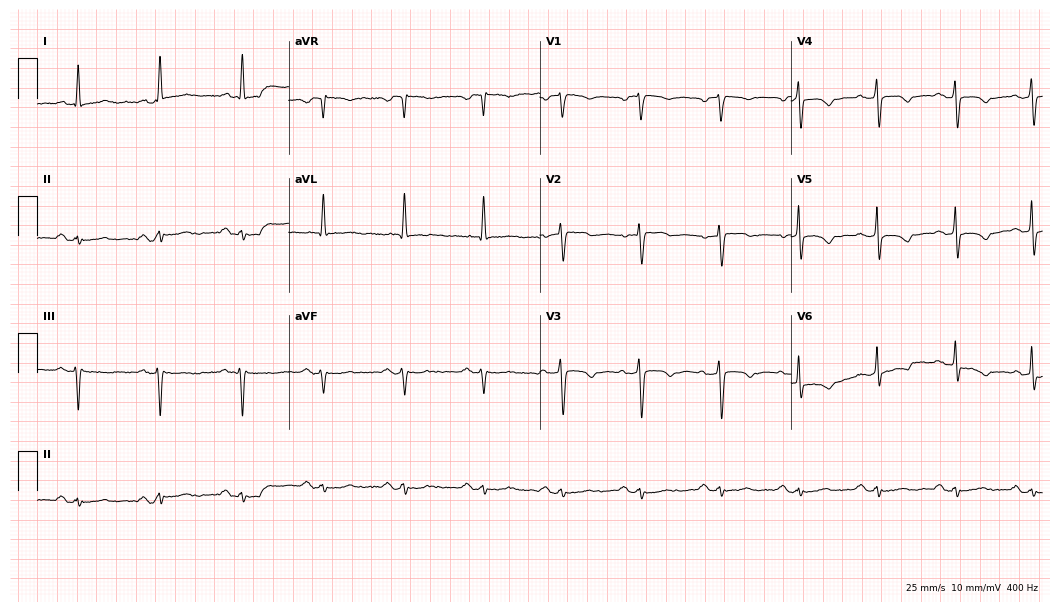
12-lead ECG (10.2-second recording at 400 Hz) from a 72-year-old female patient. Screened for six findings — first-degree AV block, right bundle branch block, left bundle branch block, sinus bradycardia, atrial fibrillation, sinus tachycardia — none is recorded.